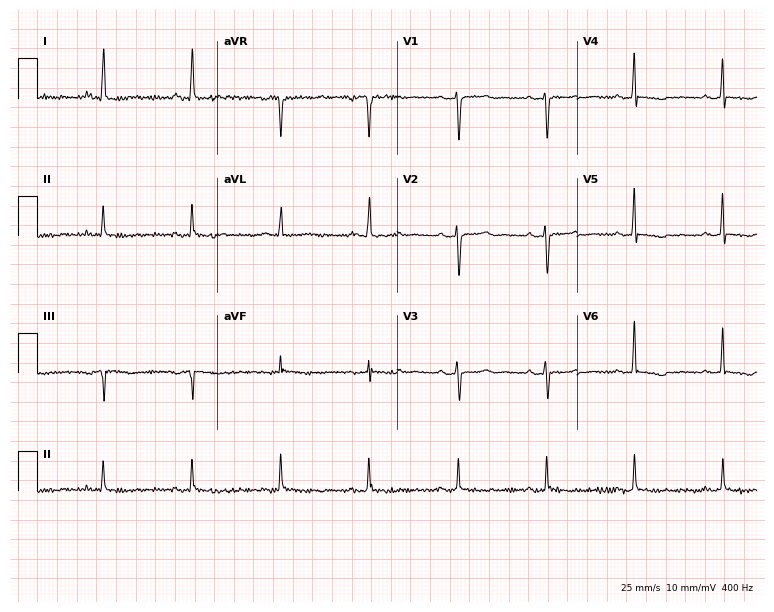
12-lead ECG from a woman, 53 years old (7.3-second recording at 400 Hz). No first-degree AV block, right bundle branch block, left bundle branch block, sinus bradycardia, atrial fibrillation or sinus tachycardia recorded for this tracing.